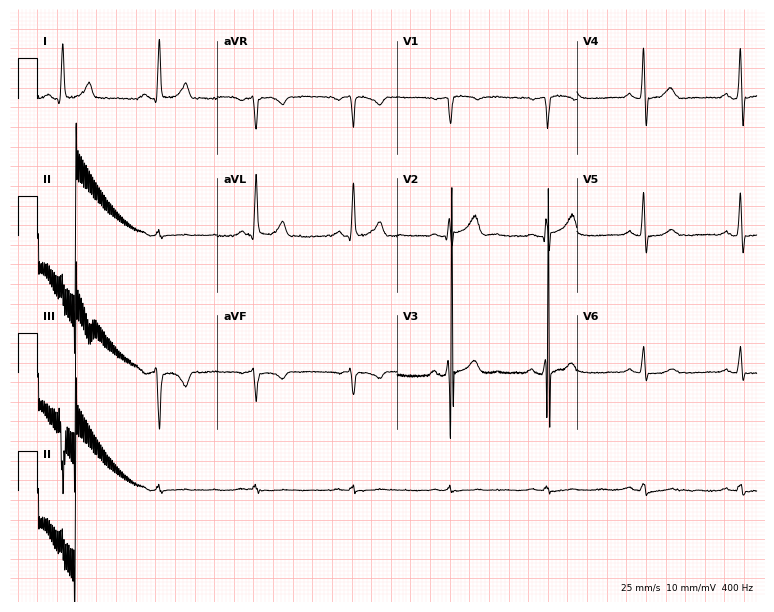
Standard 12-lead ECG recorded from a 57-year-old male. None of these six findings is recorded: first-degree AV block, right bundle branch block, left bundle branch block, sinus bradycardia, atrial fibrillation, sinus tachycardia.